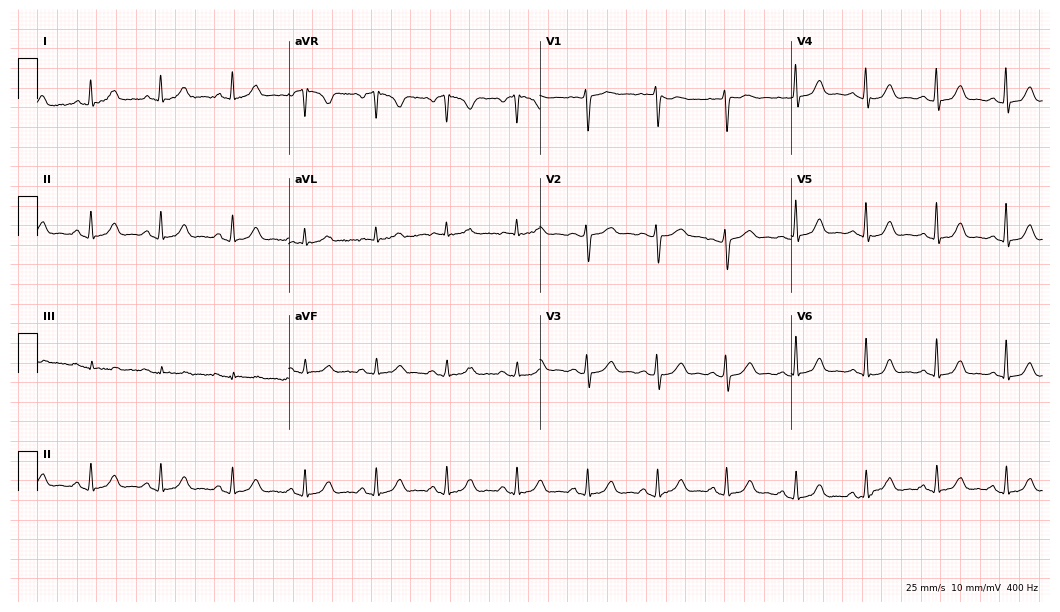
12-lead ECG (10.2-second recording at 400 Hz) from a female, 53 years old. Labelled as a normal ECG.